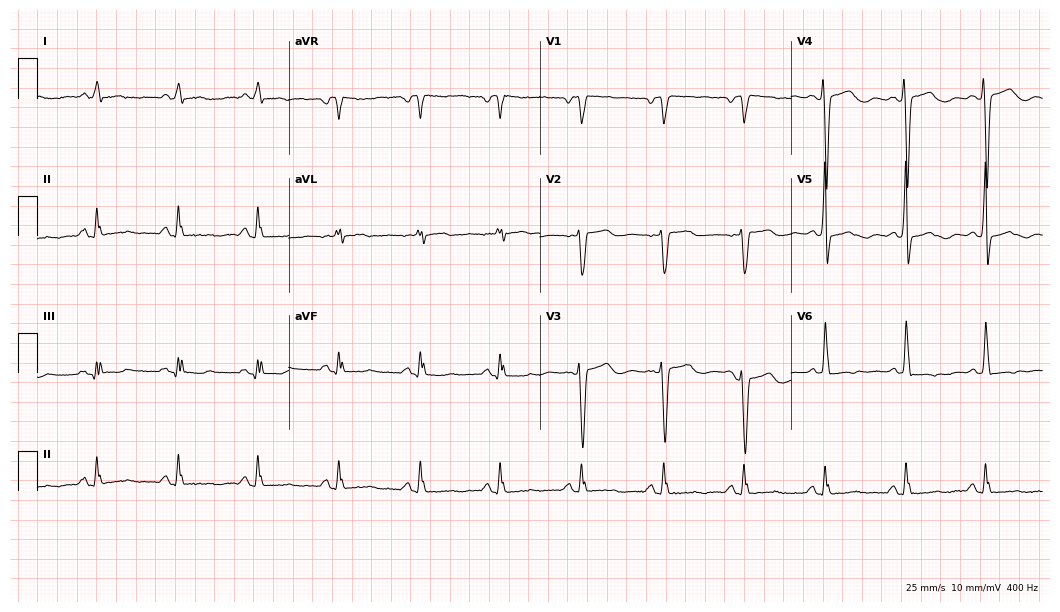
Resting 12-lead electrocardiogram. Patient: a 67-year-old female. None of these six findings is recorded: first-degree AV block, right bundle branch block, left bundle branch block, sinus bradycardia, atrial fibrillation, sinus tachycardia. Only these six findings were labelled.